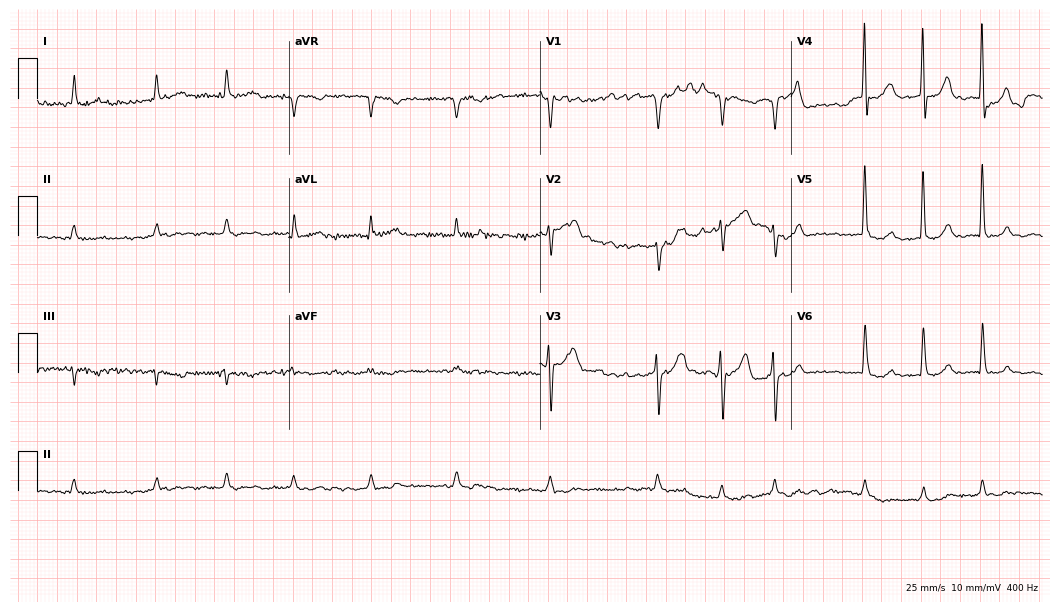
Standard 12-lead ECG recorded from an 80-year-old man (10.2-second recording at 400 Hz). The tracing shows atrial fibrillation (AF).